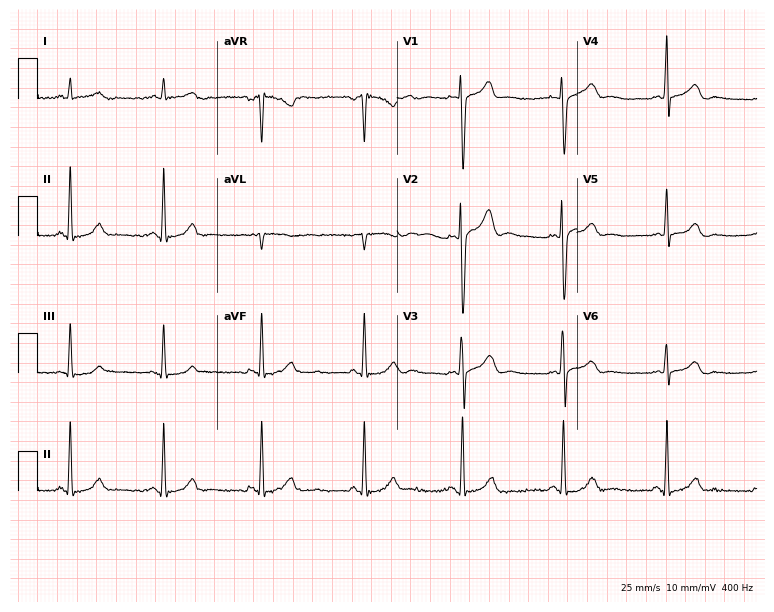
12-lead ECG from a female patient, 43 years old. Labelled as a normal ECG.